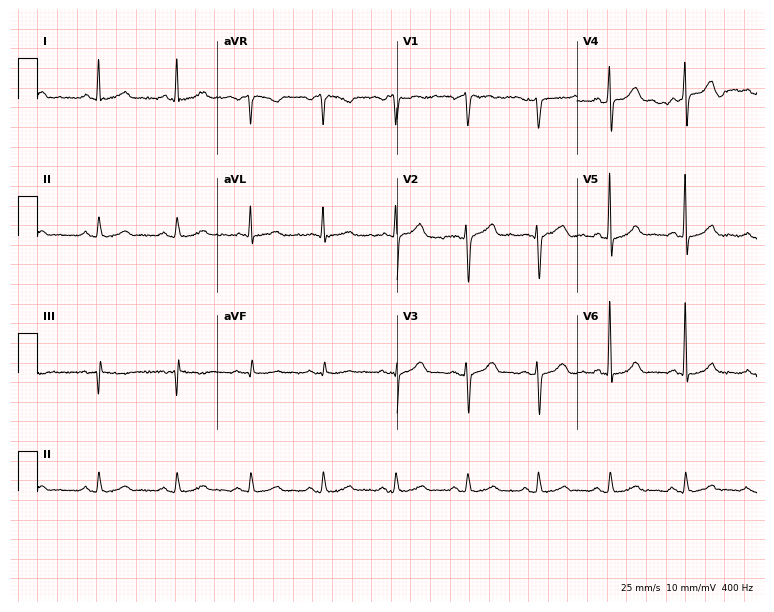
Electrocardiogram, a 50-year-old male patient. Overall reading on record: normal ECG.